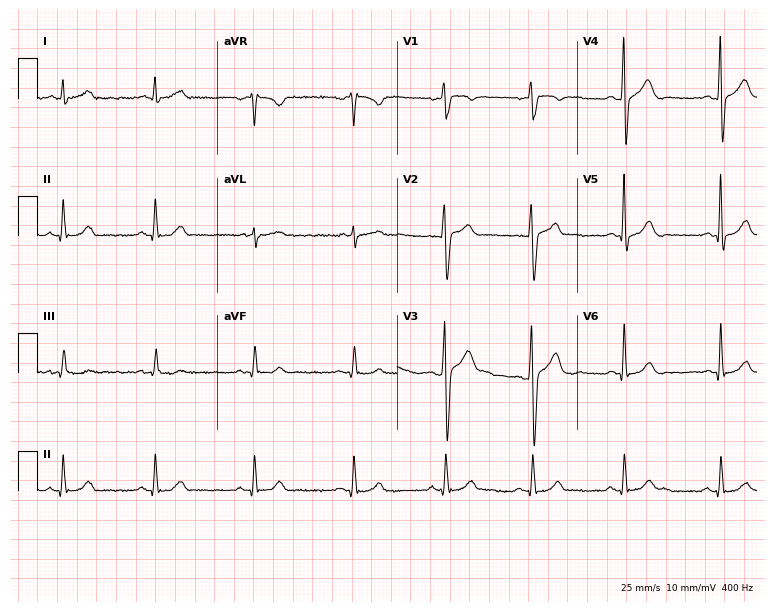
Resting 12-lead electrocardiogram. Patient: a male, 33 years old. None of these six findings is recorded: first-degree AV block, right bundle branch block, left bundle branch block, sinus bradycardia, atrial fibrillation, sinus tachycardia.